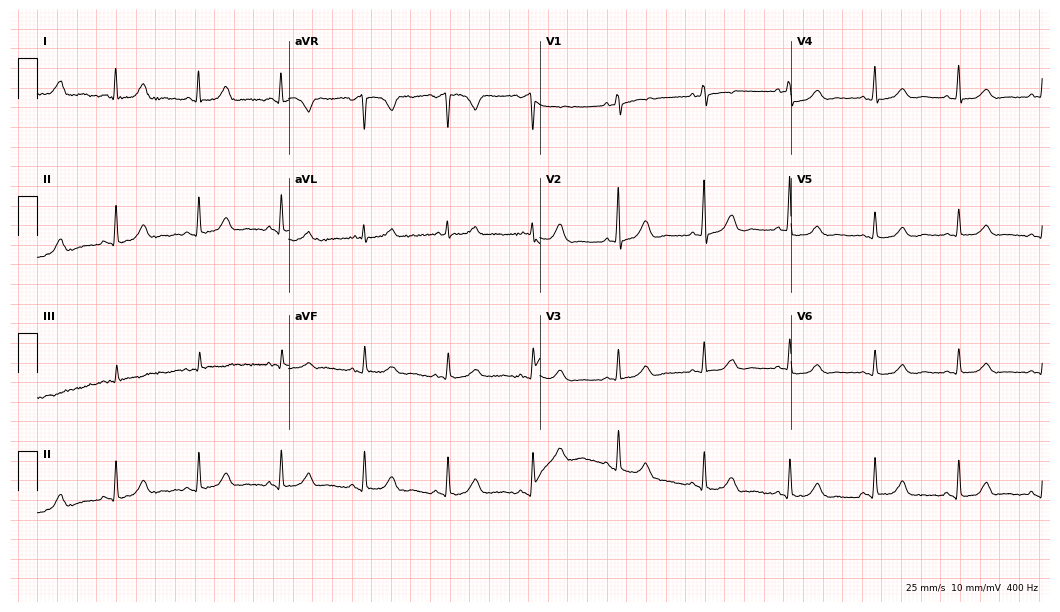
Standard 12-lead ECG recorded from a female, 49 years old (10.2-second recording at 400 Hz). Read as a normal ECG.